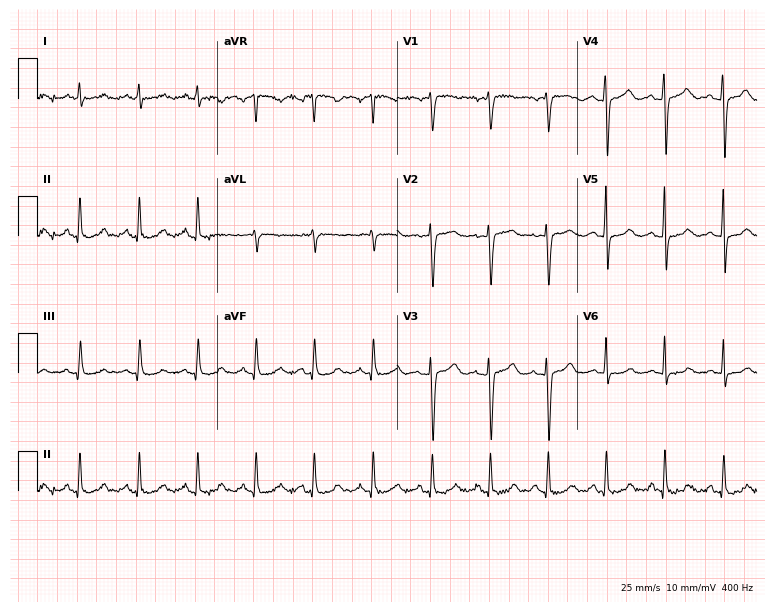
12-lead ECG from a 62-year-old female. Labelled as a normal ECG.